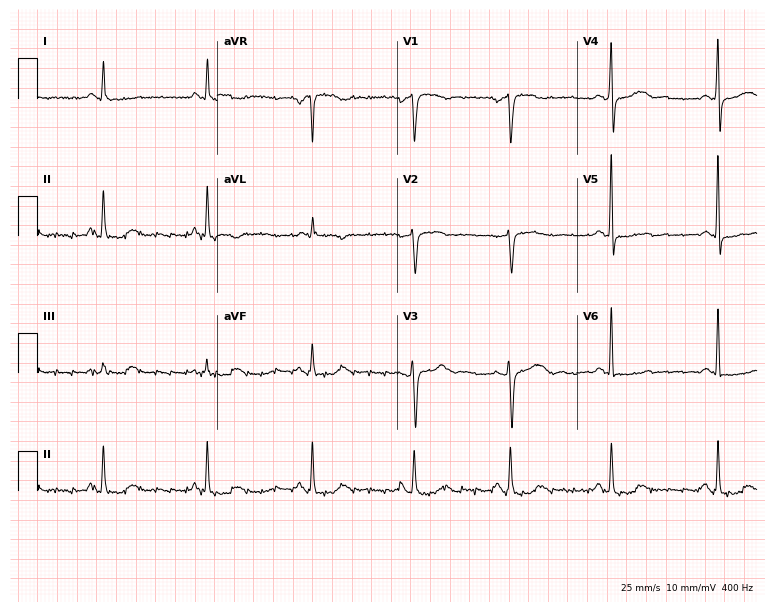
12-lead ECG (7.3-second recording at 400 Hz) from a 75-year-old female patient. Screened for six findings — first-degree AV block, right bundle branch block, left bundle branch block, sinus bradycardia, atrial fibrillation, sinus tachycardia — none is recorded.